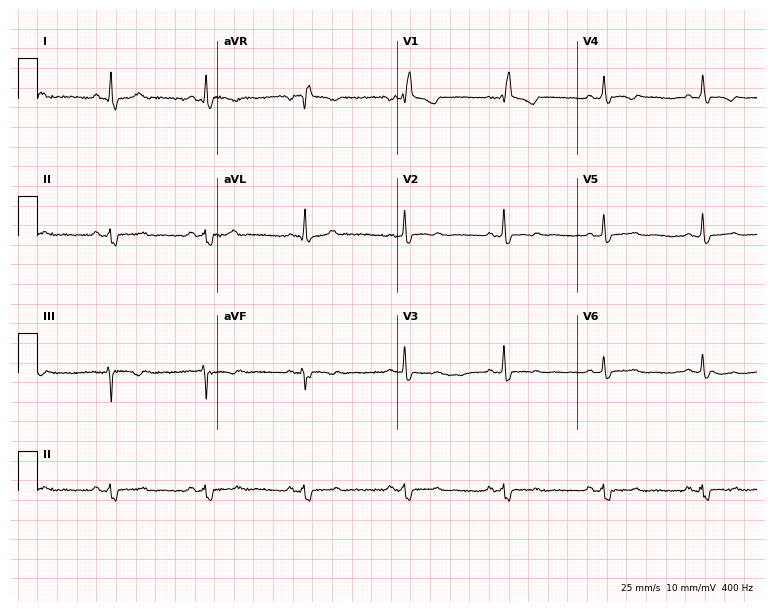
Standard 12-lead ECG recorded from a 44-year-old female patient. The tracing shows right bundle branch block (RBBB).